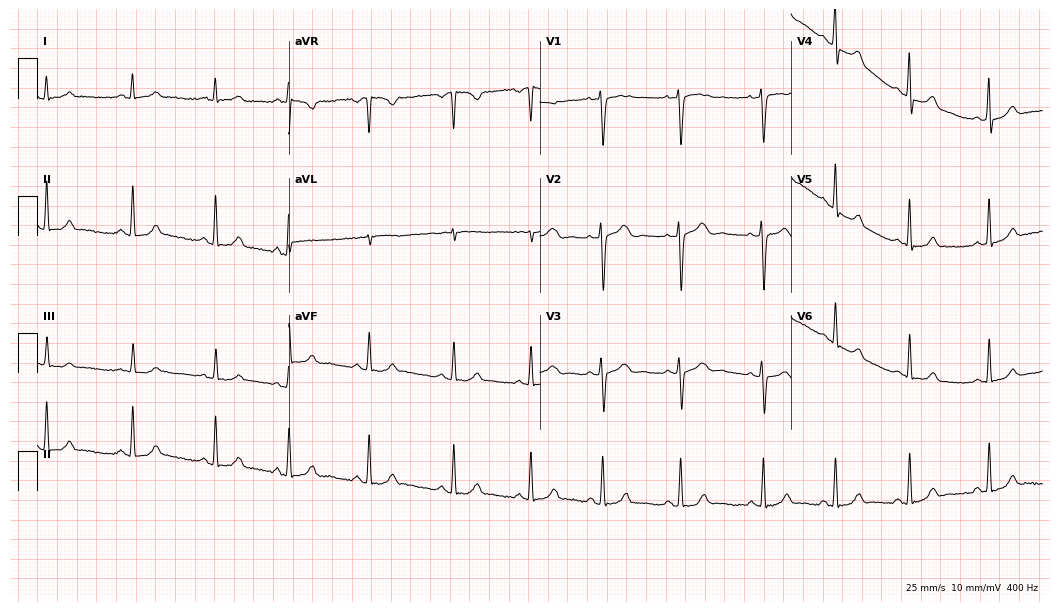
ECG (10.2-second recording at 400 Hz) — a female patient, 24 years old. Labelled as a normal ECG.